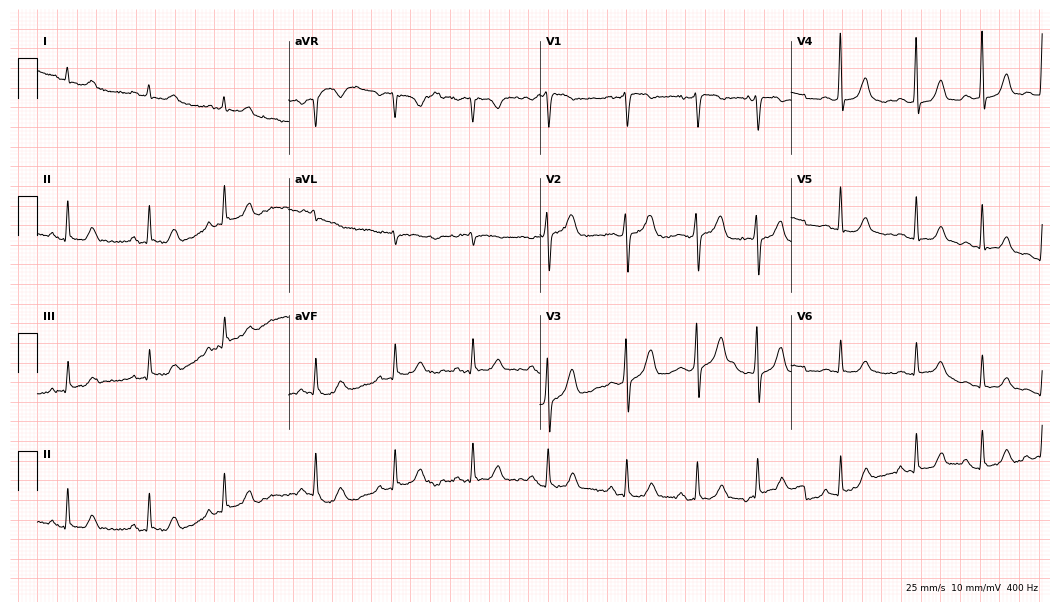
12-lead ECG (10.2-second recording at 400 Hz) from an 83-year-old female. Screened for six findings — first-degree AV block, right bundle branch block, left bundle branch block, sinus bradycardia, atrial fibrillation, sinus tachycardia — none is recorded.